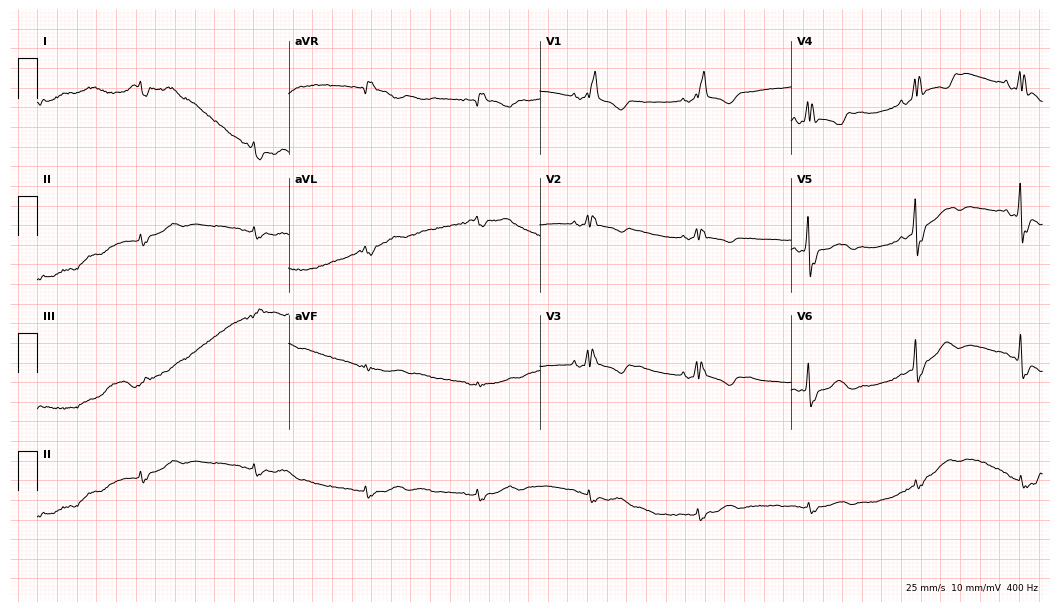
12-lead ECG from a 77-year-old male patient. Shows right bundle branch block (RBBB).